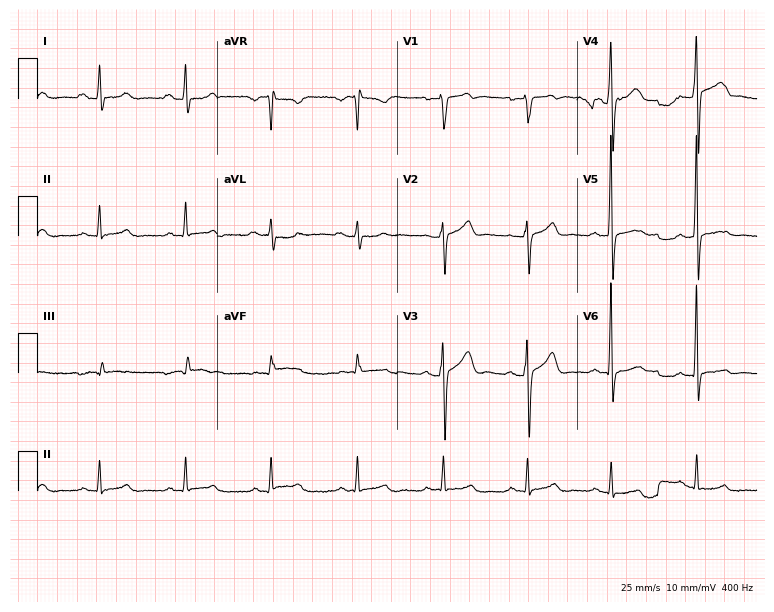
12-lead ECG from a male patient, 54 years old. Screened for six findings — first-degree AV block, right bundle branch block, left bundle branch block, sinus bradycardia, atrial fibrillation, sinus tachycardia — none is recorded. Other findings, if any, are not listed.